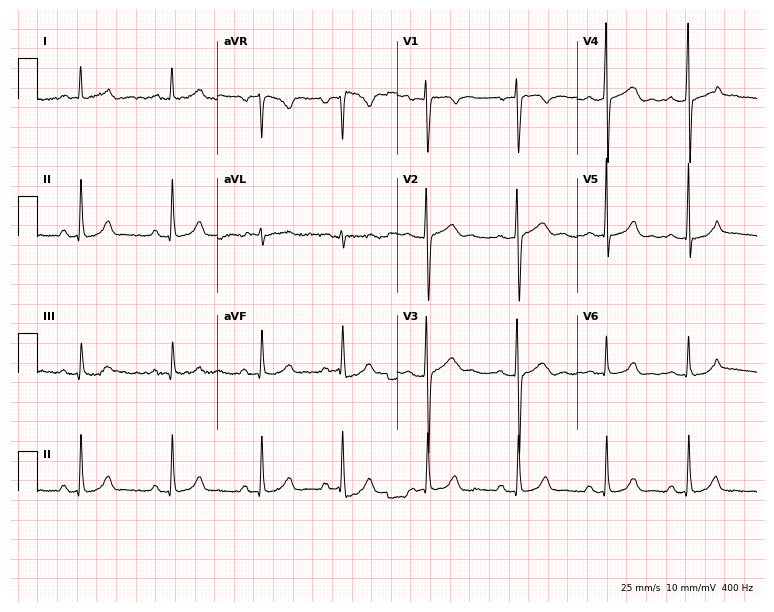
ECG — a female patient, 18 years old. Labelled as a normal ECG.